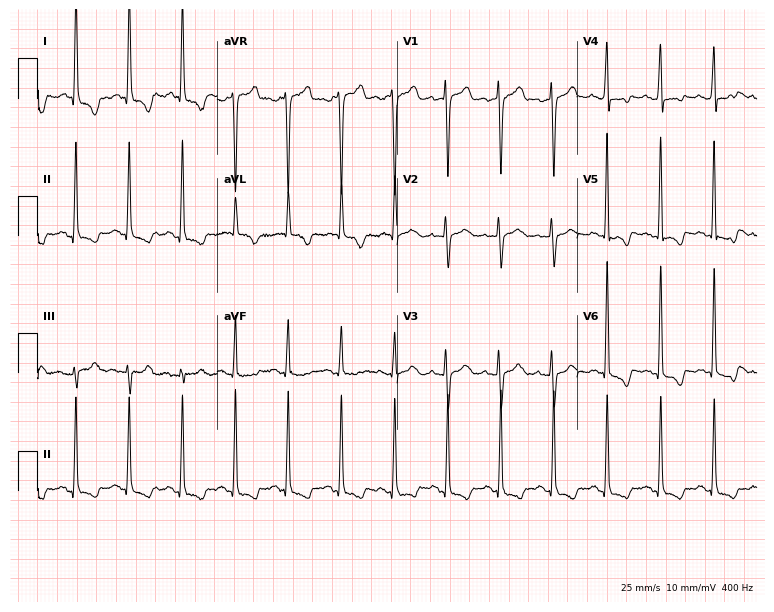
ECG — a 71-year-old female patient. Findings include sinus tachycardia (a sinus rate of 100 beats per minute or more).